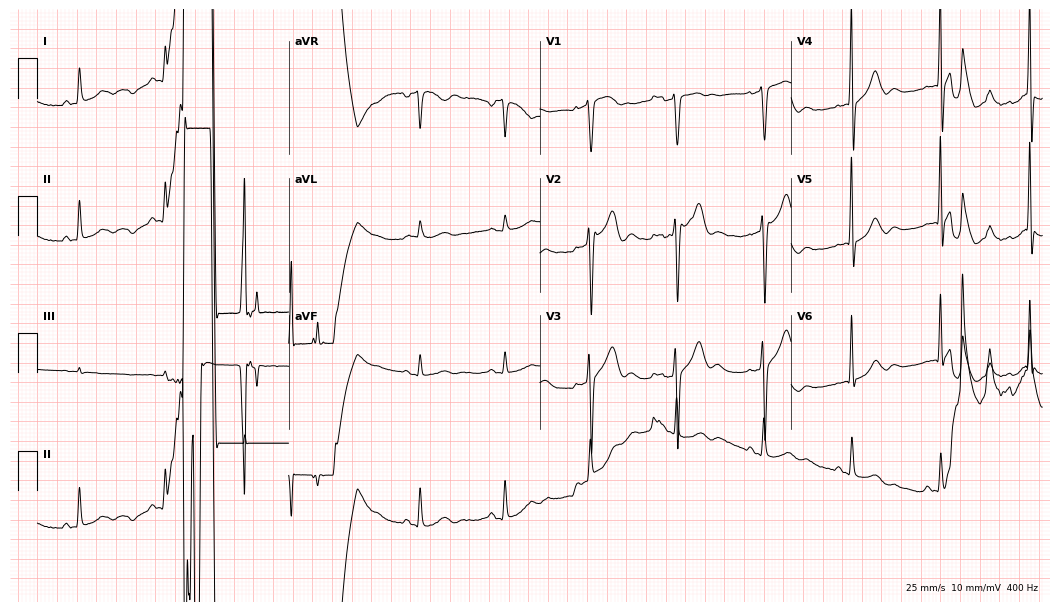
12-lead ECG from a man, 68 years old (10.2-second recording at 400 Hz). Recorded interpretation: within normal limits.